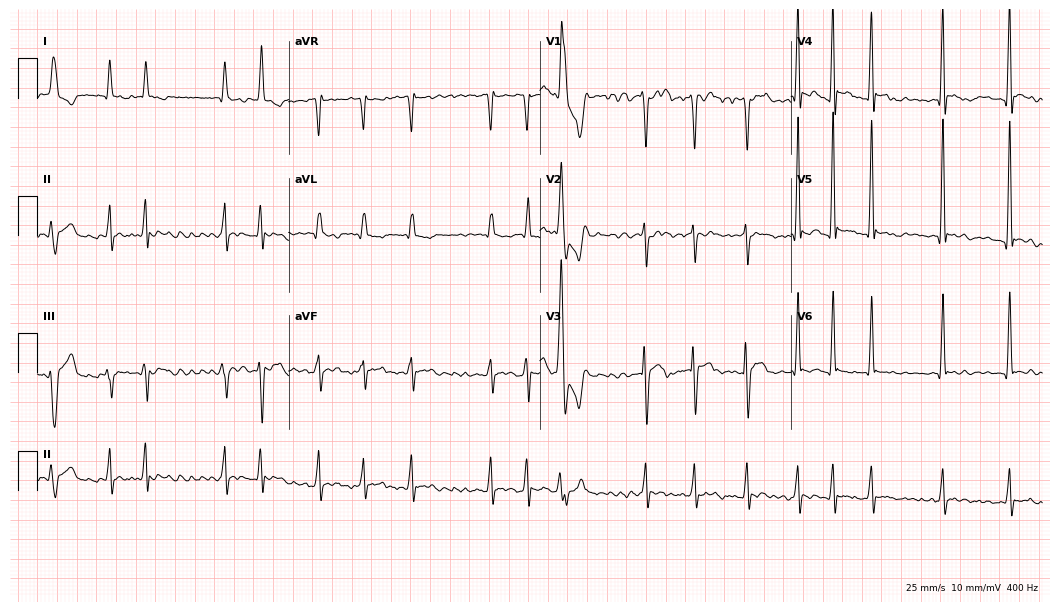
ECG (10.2-second recording at 400 Hz) — a 41-year-old male patient. Findings include atrial fibrillation.